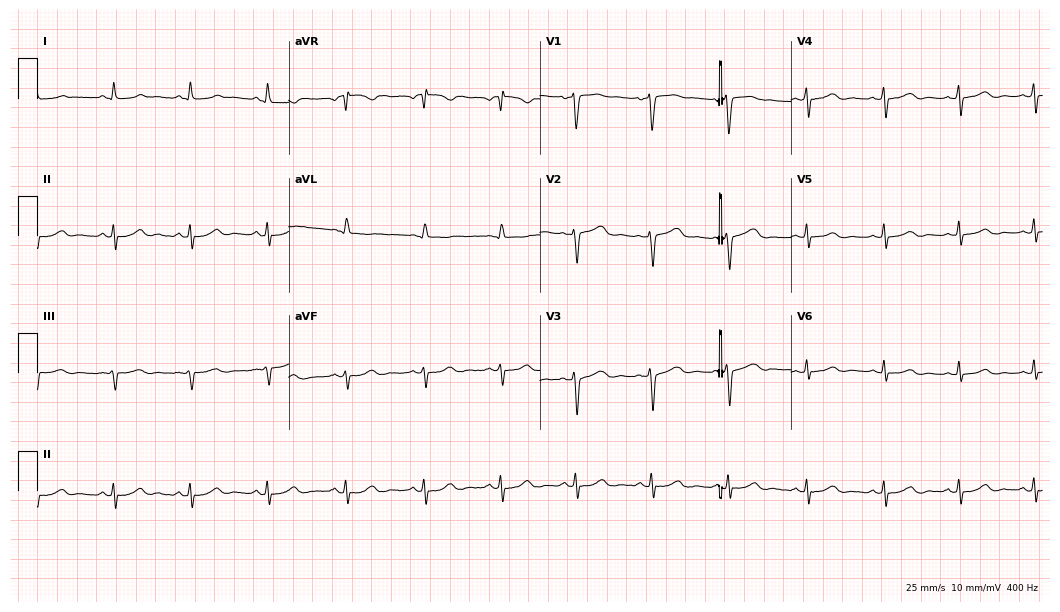
Standard 12-lead ECG recorded from a female, 47 years old (10.2-second recording at 400 Hz). None of these six findings is recorded: first-degree AV block, right bundle branch block, left bundle branch block, sinus bradycardia, atrial fibrillation, sinus tachycardia. Findings outside these six are not listed.